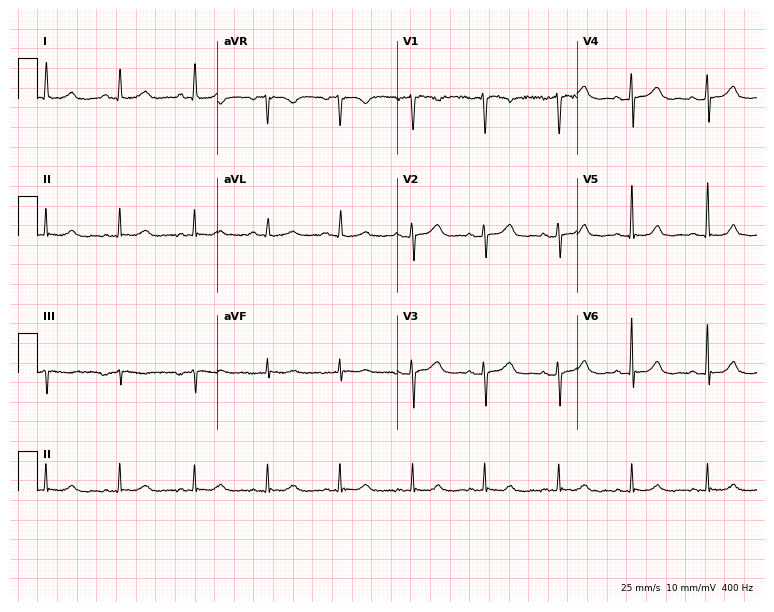
Standard 12-lead ECG recorded from a 54-year-old female patient. Read as a normal ECG.